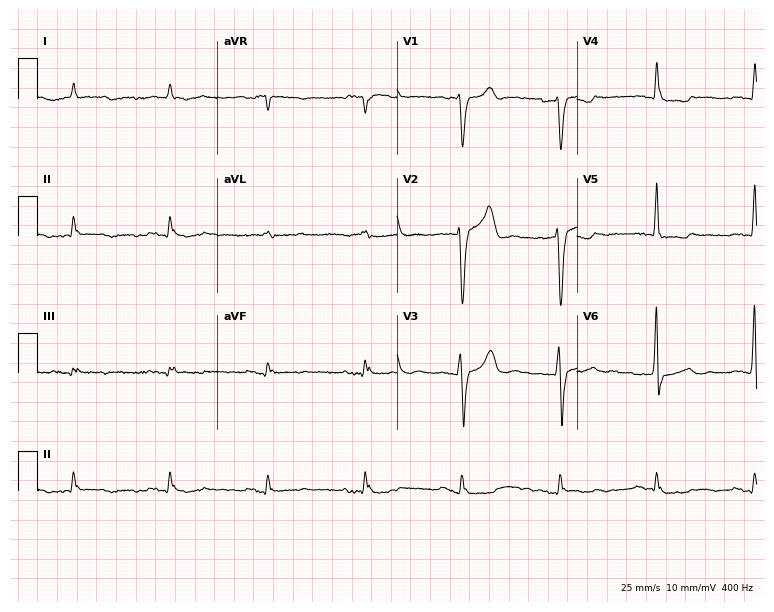
ECG (7.3-second recording at 400 Hz) — a 78-year-old male. Screened for six findings — first-degree AV block, right bundle branch block, left bundle branch block, sinus bradycardia, atrial fibrillation, sinus tachycardia — none is recorded. Other findings, if any, are not listed.